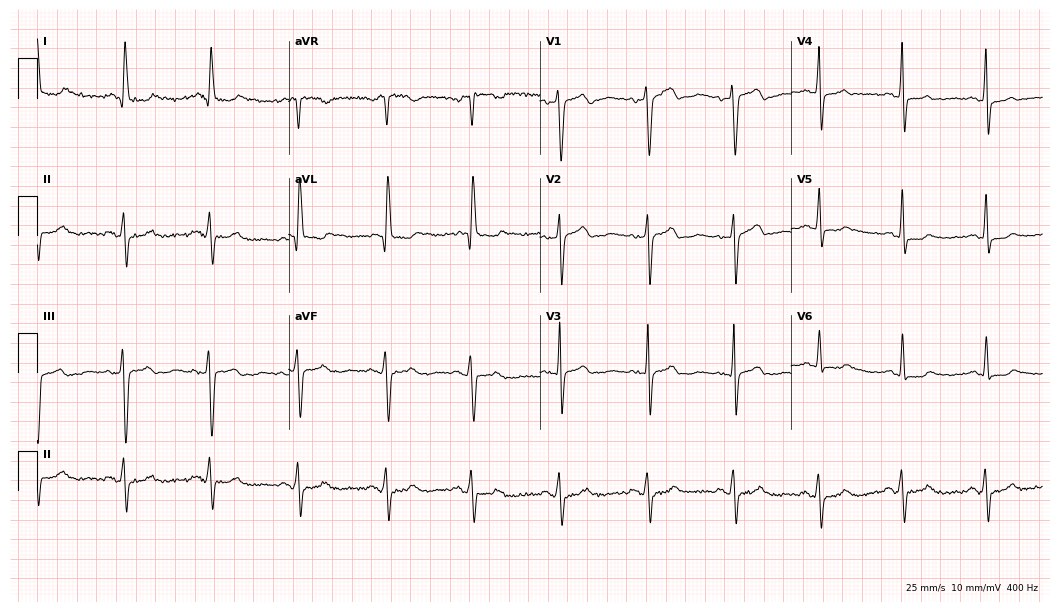
Electrocardiogram (10.2-second recording at 400 Hz), a female patient, 77 years old. Of the six screened findings (first-degree AV block, right bundle branch block, left bundle branch block, sinus bradycardia, atrial fibrillation, sinus tachycardia), none is recorded.